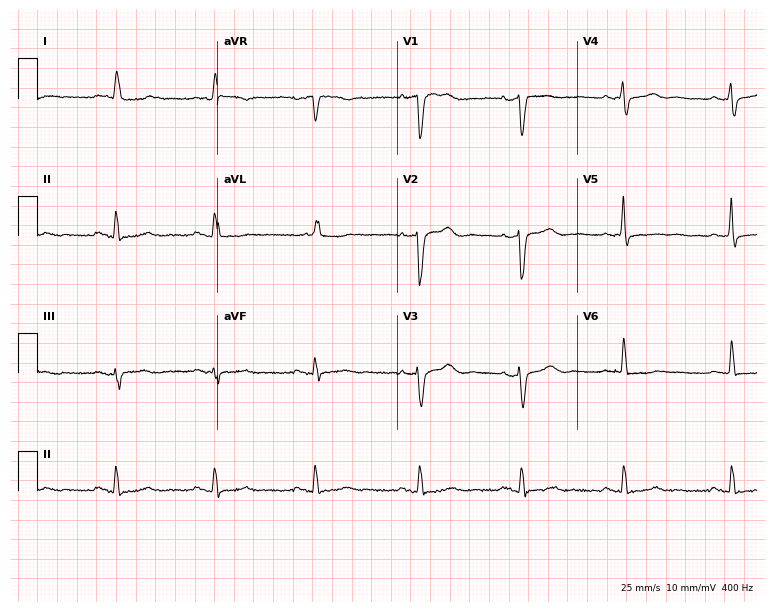
Standard 12-lead ECG recorded from a female, 83 years old. None of these six findings is recorded: first-degree AV block, right bundle branch block, left bundle branch block, sinus bradycardia, atrial fibrillation, sinus tachycardia.